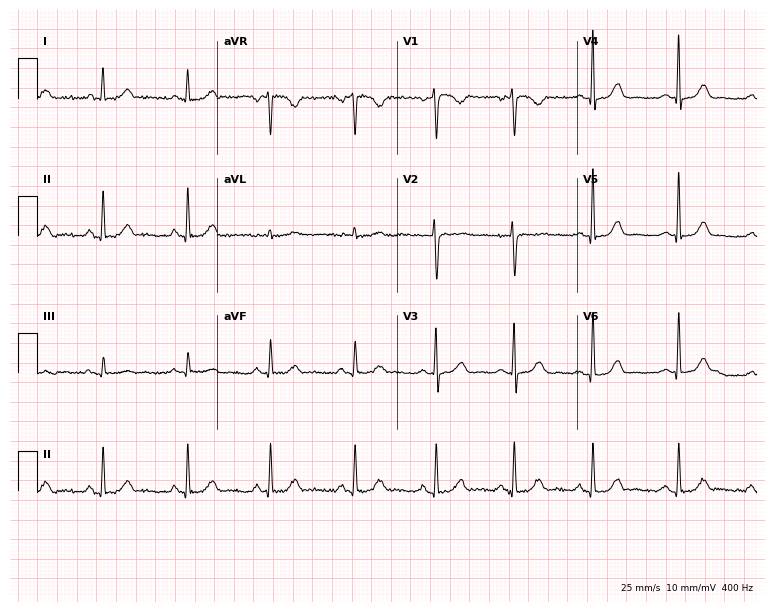
Electrocardiogram, a 50-year-old female patient. Overall reading on record: normal ECG.